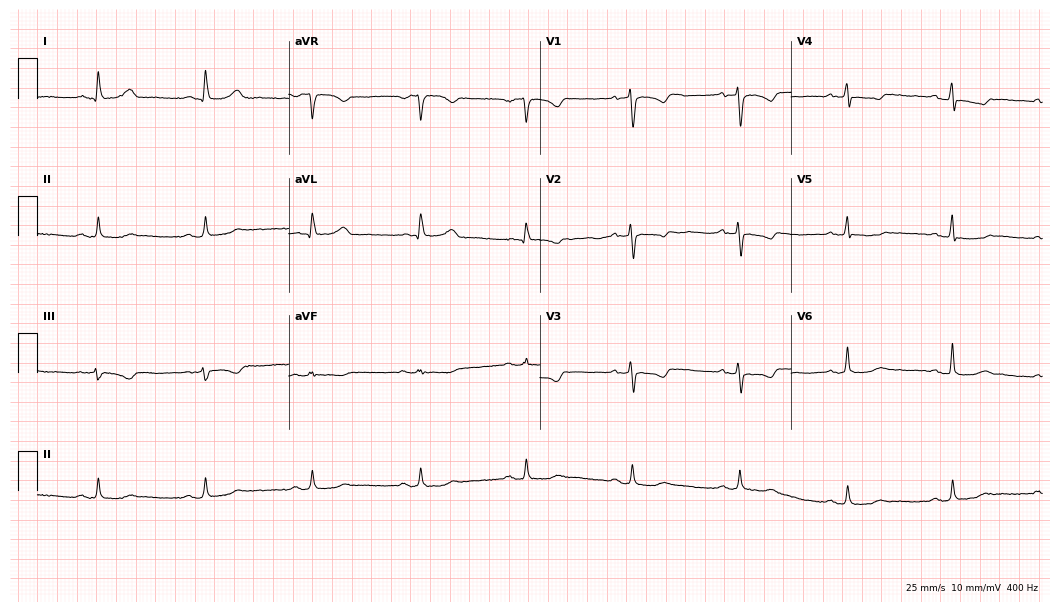
ECG (10.2-second recording at 400 Hz) — a 53-year-old female patient. Screened for six findings — first-degree AV block, right bundle branch block, left bundle branch block, sinus bradycardia, atrial fibrillation, sinus tachycardia — none is recorded. Only these six findings were labelled.